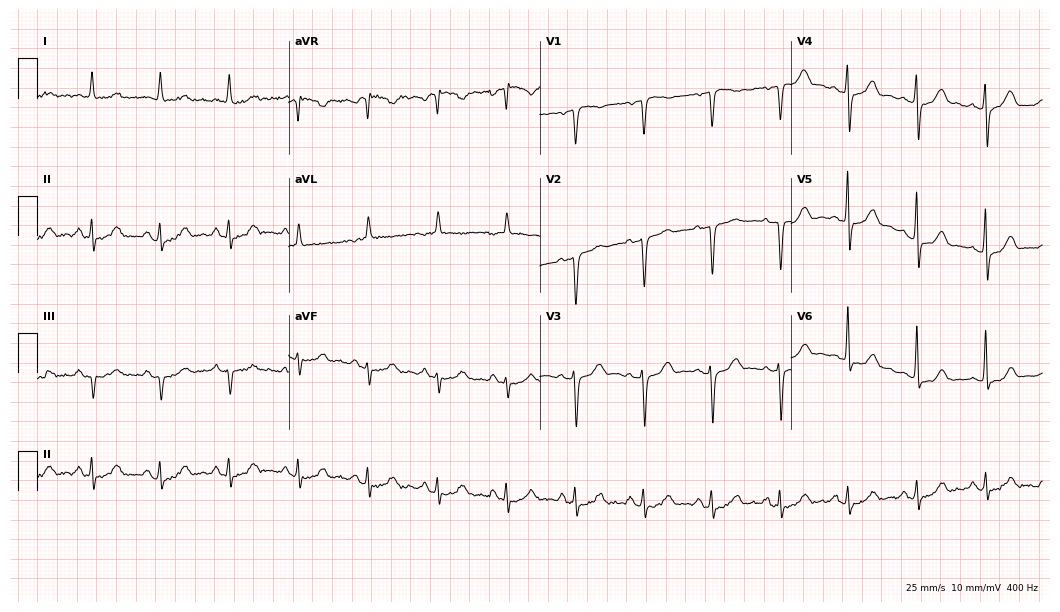
Electrocardiogram (10.2-second recording at 400 Hz), a male, 65 years old. Overall reading on record: normal ECG.